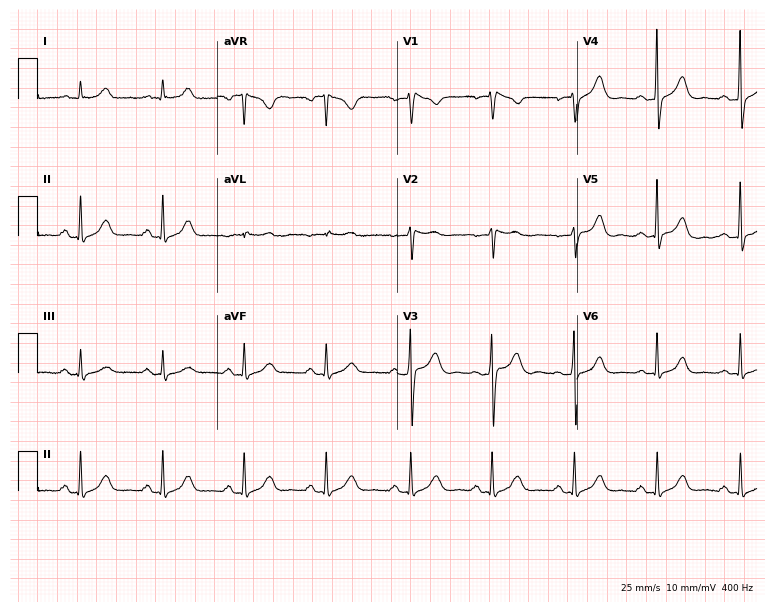
Electrocardiogram, a 68-year-old woman. Overall reading on record: normal ECG.